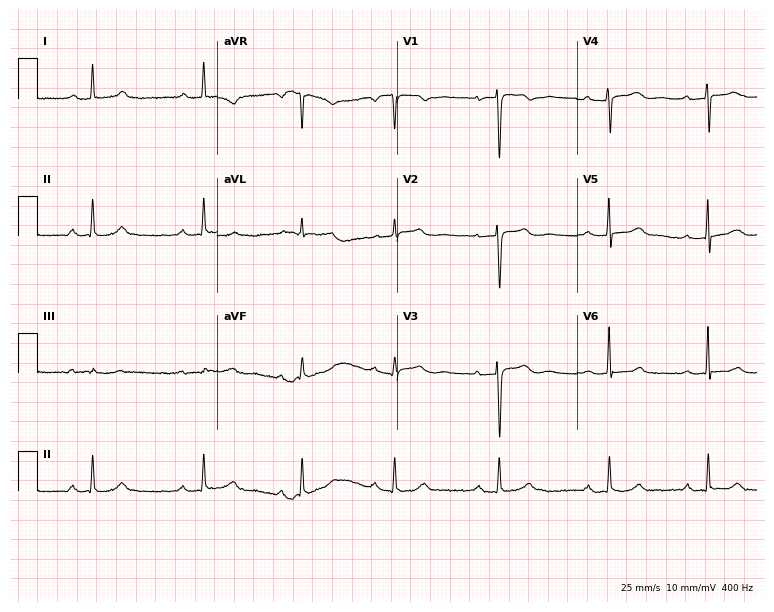
12-lead ECG from a female, 53 years old. Shows first-degree AV block.